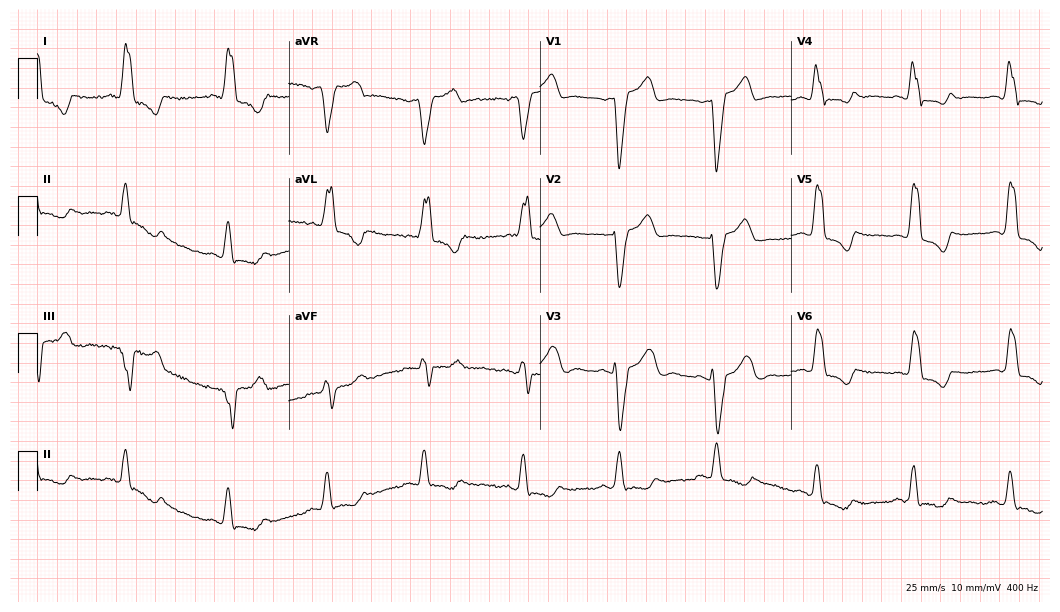
Electrocardiogram, a 75-year-old female. Interpretation includes left bundle branch block (LBBB).